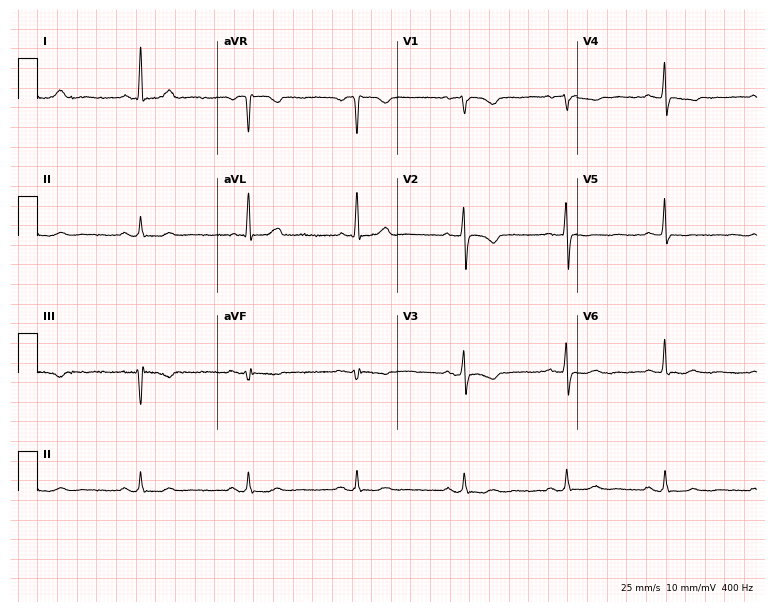
Electrocardiogram, a woman, 58 years old. Of the six screened findings (first-degree AV block, right bundle branch block, left bundle branch block, sinus bradycardia, atrial fibrillation, sinus tachycardia), none is recorded. Other findings, if any, are not listed.